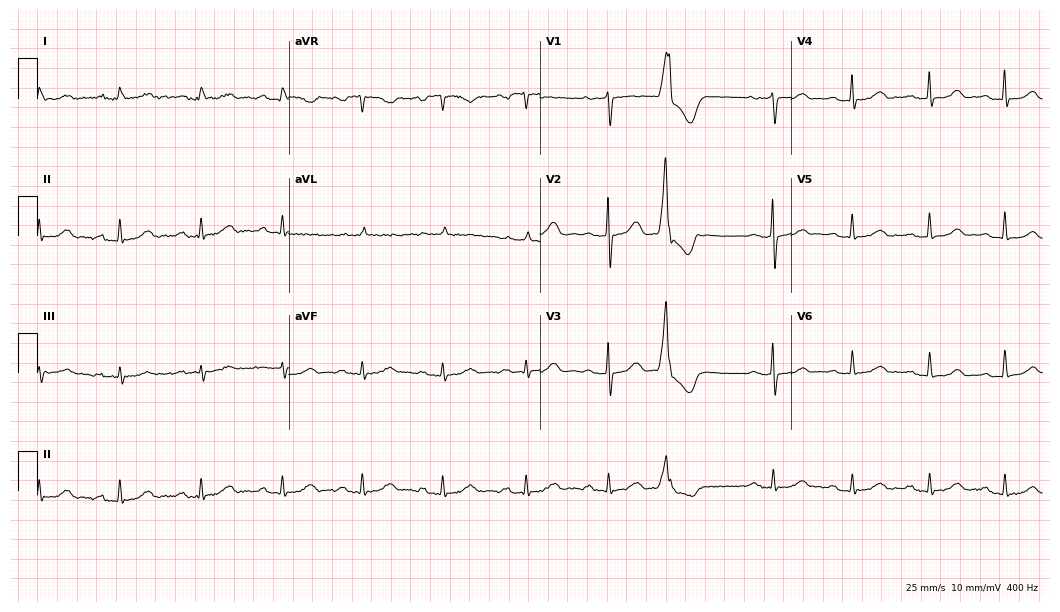
Resting 12-lead electrocardiogram (10.2-second recording at 400 Hz). Patient: a 74-year-old woman. The tracing shows first-degree AV block.